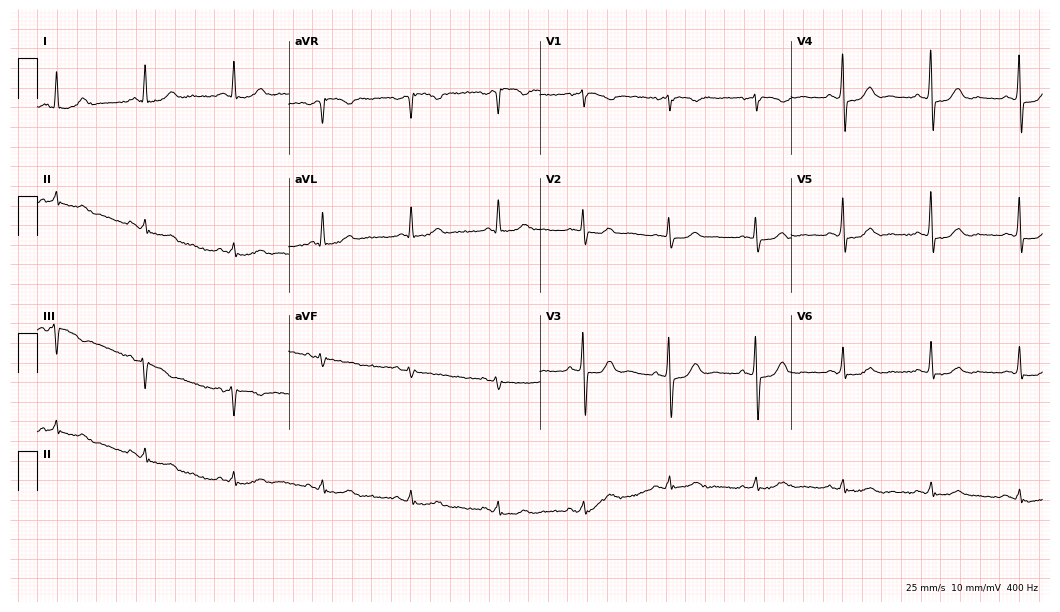
Resting 12-lead electrocardiogram (10.2-second recording at 400 Hz). Patient: a 74-year-old male. Read as a normal ECG.